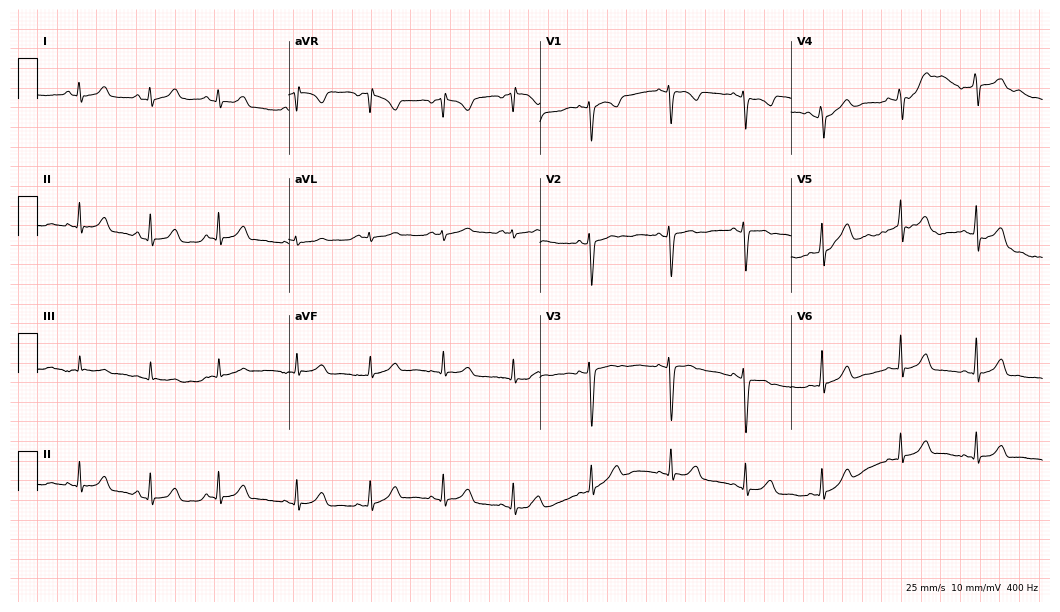
12-lead ECG from a female patient, 18 years old. Recorded interpretation: within normal limits.